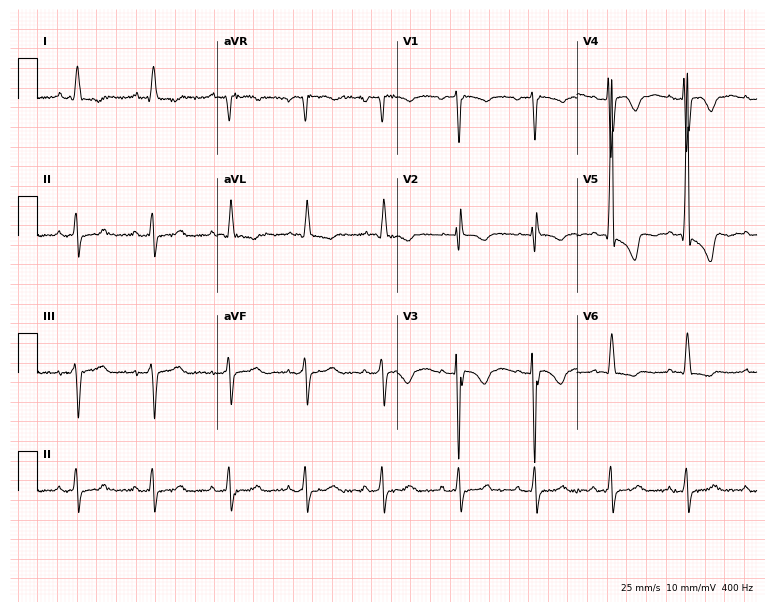
12-lead ECG from a 63-year-old male patient. Screened for six findings — first-degree AV block, right bundle branch block (RBBB), left bundle branch block (LBBB), sinus bradycardia, atrial fibrillation (AF), sinus tachycardia — none is recorded. Only these six findings were labelled.